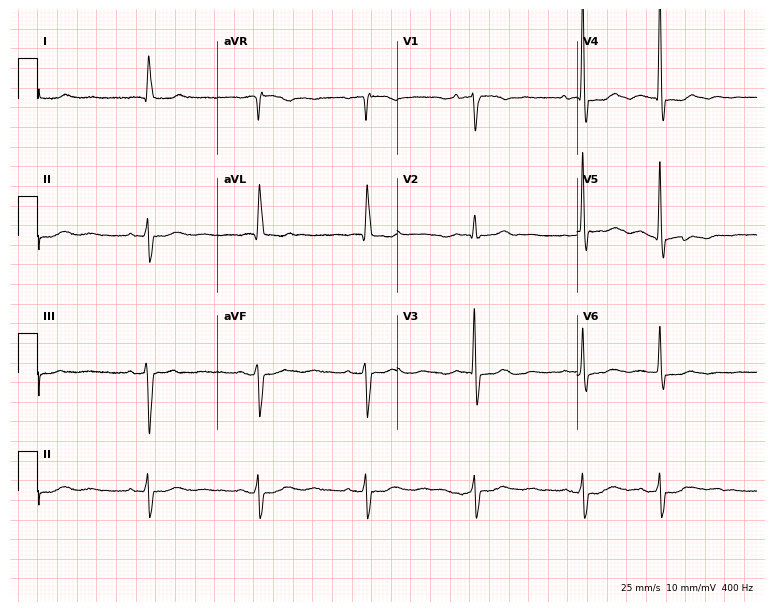
Resting 12-lead electrocardiogram. Patient: a woman, 85 years old. None of these six findings is recorded: first-degree AV block, right bundle branch block, left bundle branch block, sinus bradycardia, atrial fibrillation, sinus tachycardia.